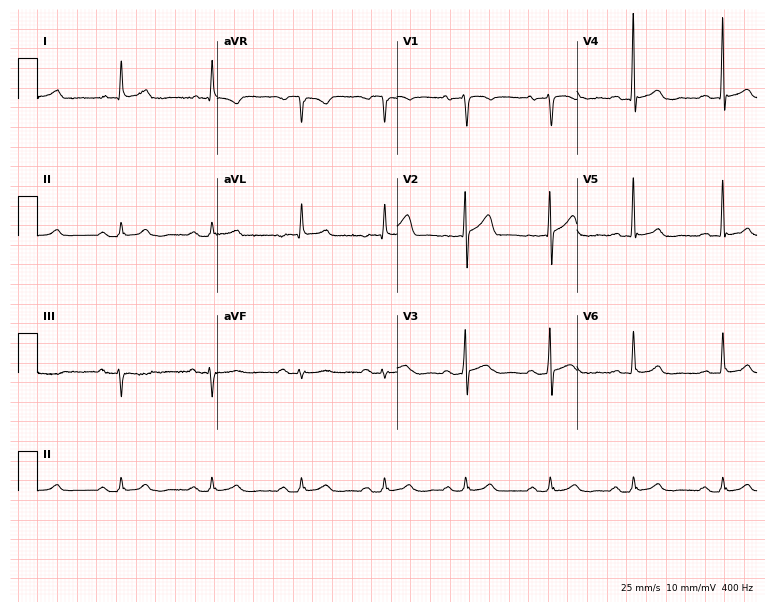
Resting 12-lead electrocardiogram (7.3-second recording at 400 Hz). Patient: a 72-year-old male. Read as a normal ECG.